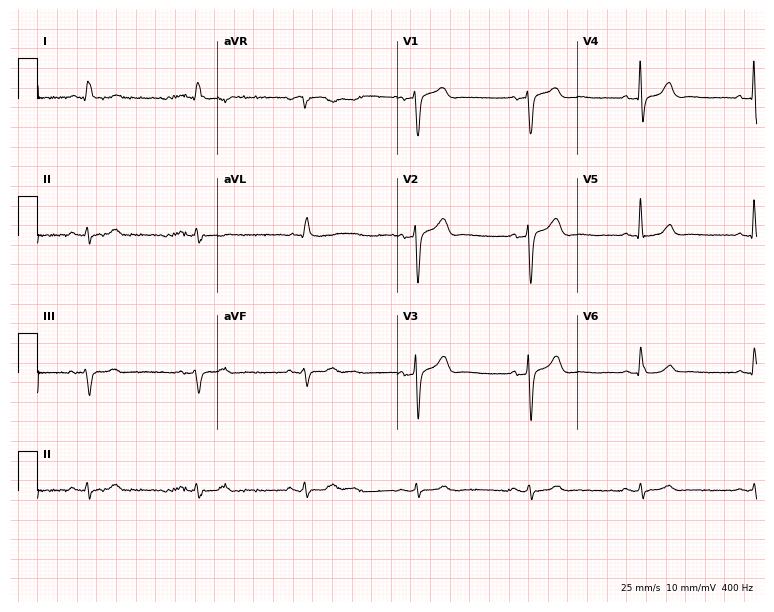
Resting 12-lead electrocardiogram. Patient: a male, 85 years old. Read as a normal ECG.